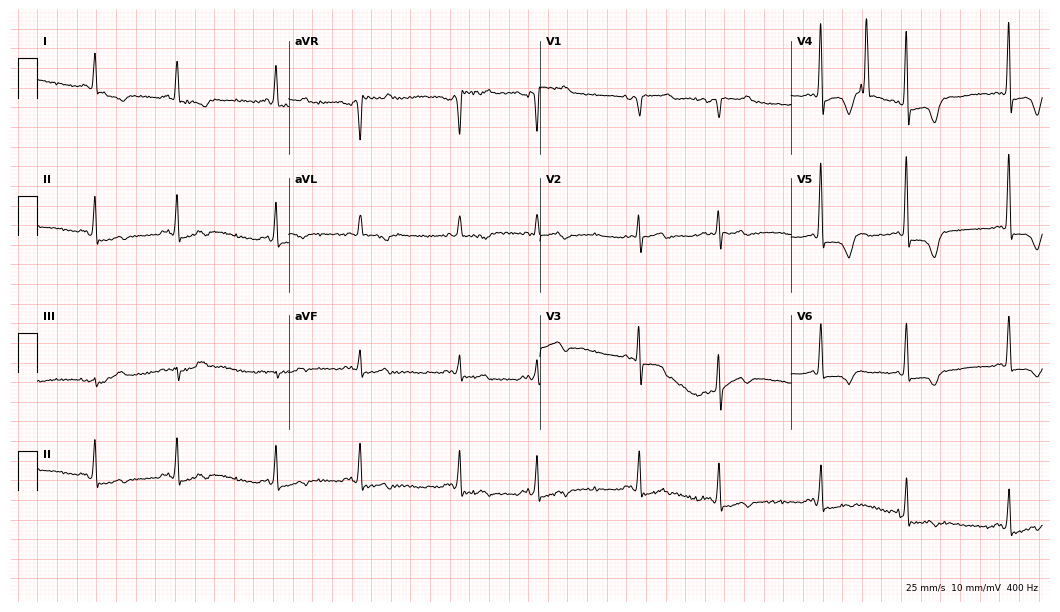
Standard 12-lead ECG recorded from a 77-year-old male patient (10.2-second recording at 400 Hz). None of these six findings is recorded: first-degree AV block, right bundle branch block, left bundle branch block, sinus bradycardia, atrial fibrillation, sinus tachycardia. Findings outside these six are not listed.